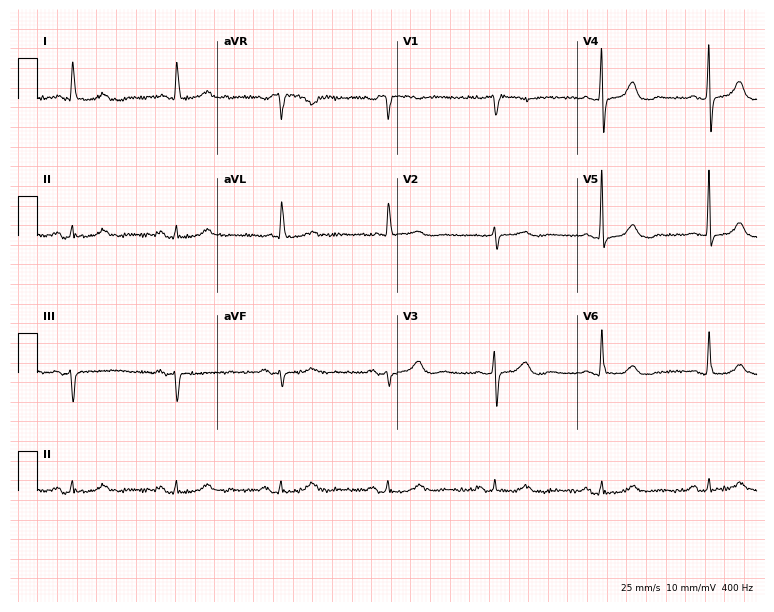
Electrocardiogram, a woman, 81 years old. Overall reading on record: normal ECG.